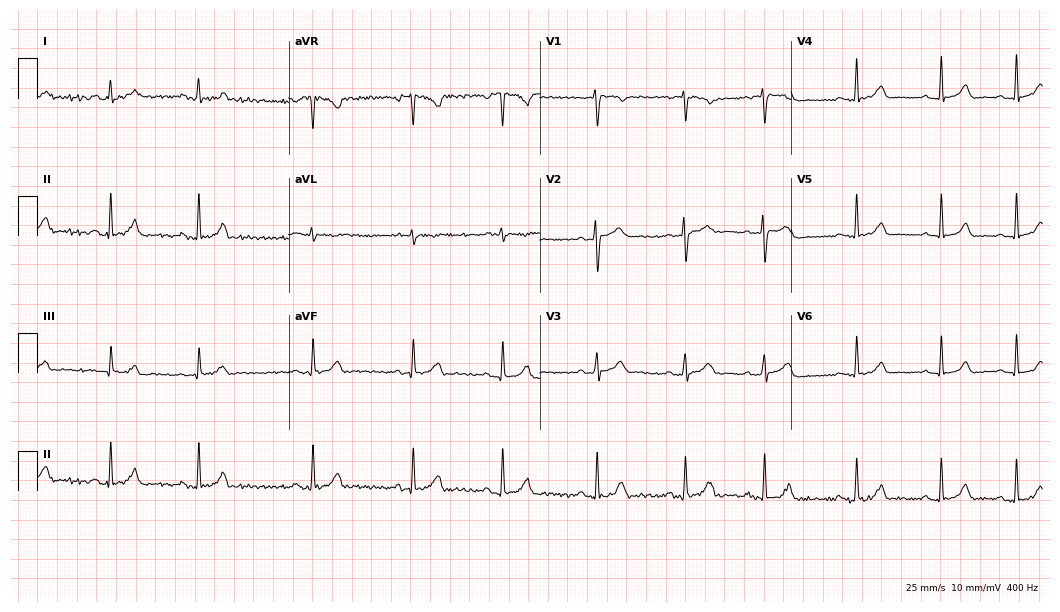
Resting 12-lead electrocardiogram. Patient: a female, 22 years old. Read as a normal ECG.